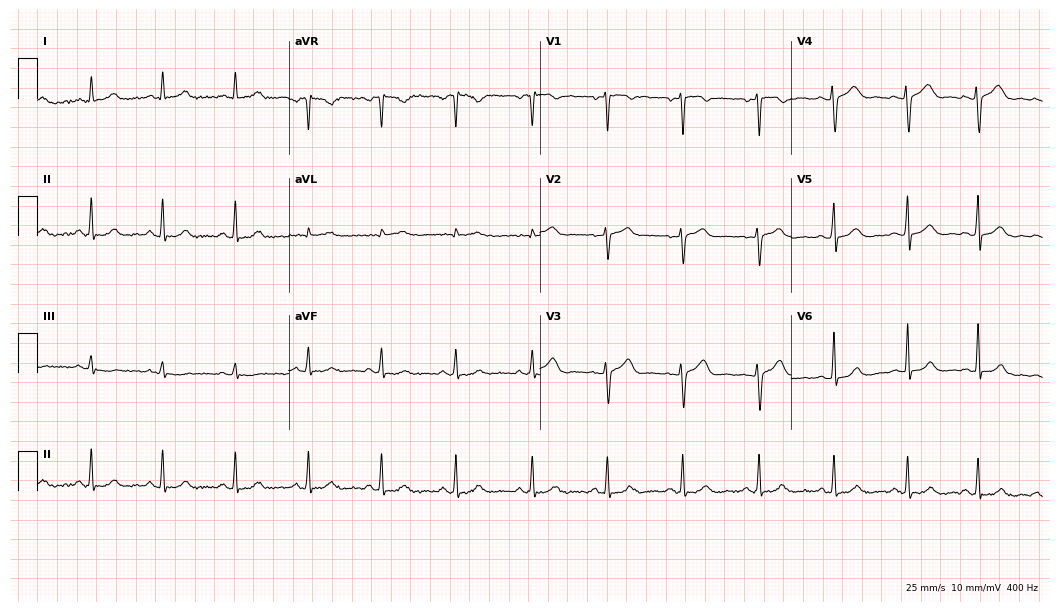
Resting 12-lead electrocardiogram. Patient: a female, 29 years old. Read as a normal ECG.